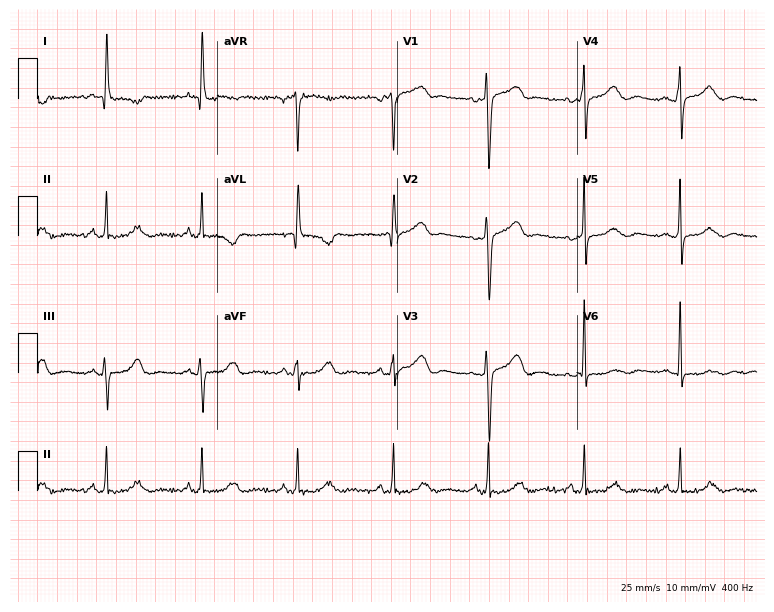
Standard 12-lead ECG recorded from a 67-year-old female patient (7.3-second recording at 400 Hz). Read as a normal ECG.